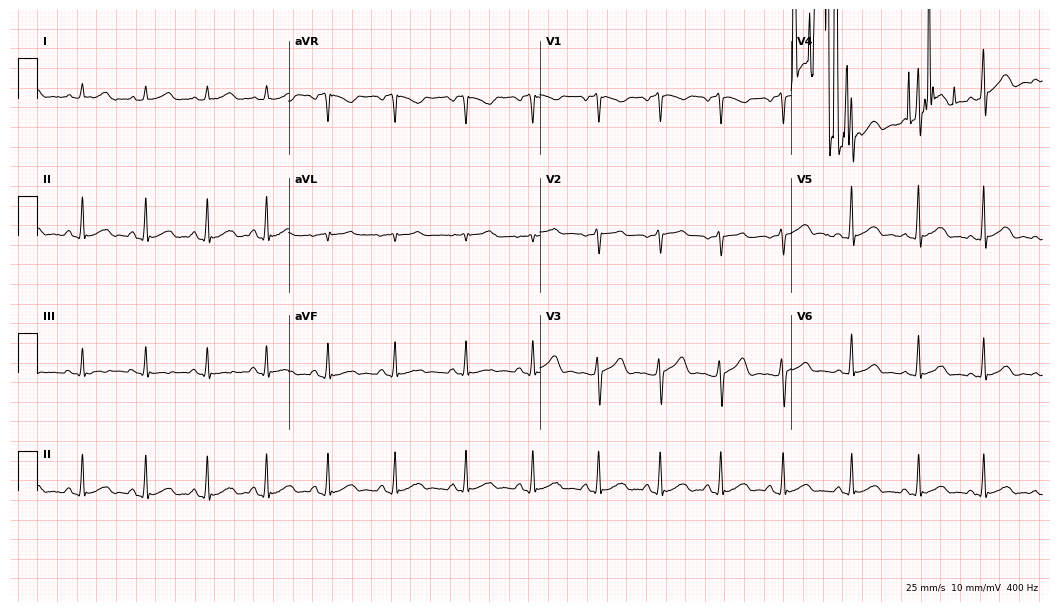
ECG — a 22-year-old male patient. Screened for six findings — first-degree AV block, right bundle branch block (RBBB), left bundle branch block (LBBB), sinus bradycardia, atrial fibrillation (AF), sinus tachycardia — none is recorded. Findings outside these six are not listed.